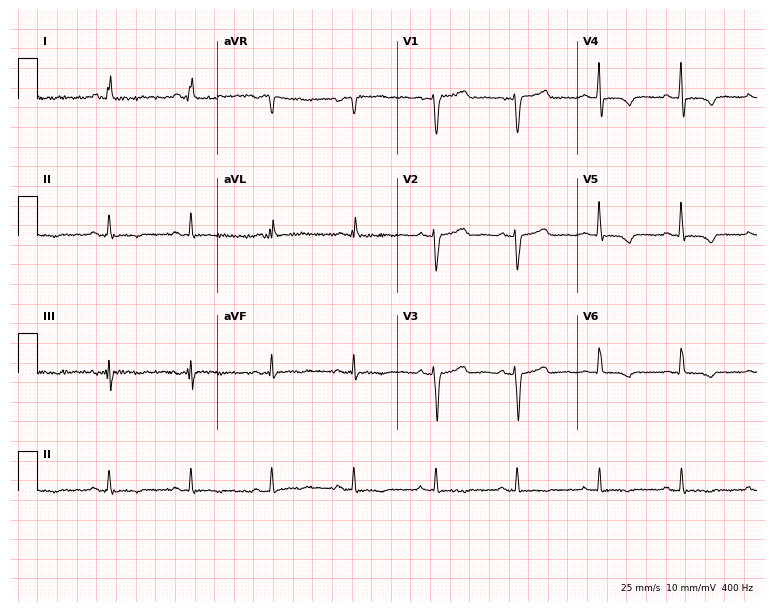
Standard 12-lead ECG recorded from a female, 49 years old. None of these six findings is recorded: first-degree AV block, right bundle branch block, left bundle branch block, sinus bradycardia, atrial fibrillation, sinus tachycardia. Only these six findings were labelled.